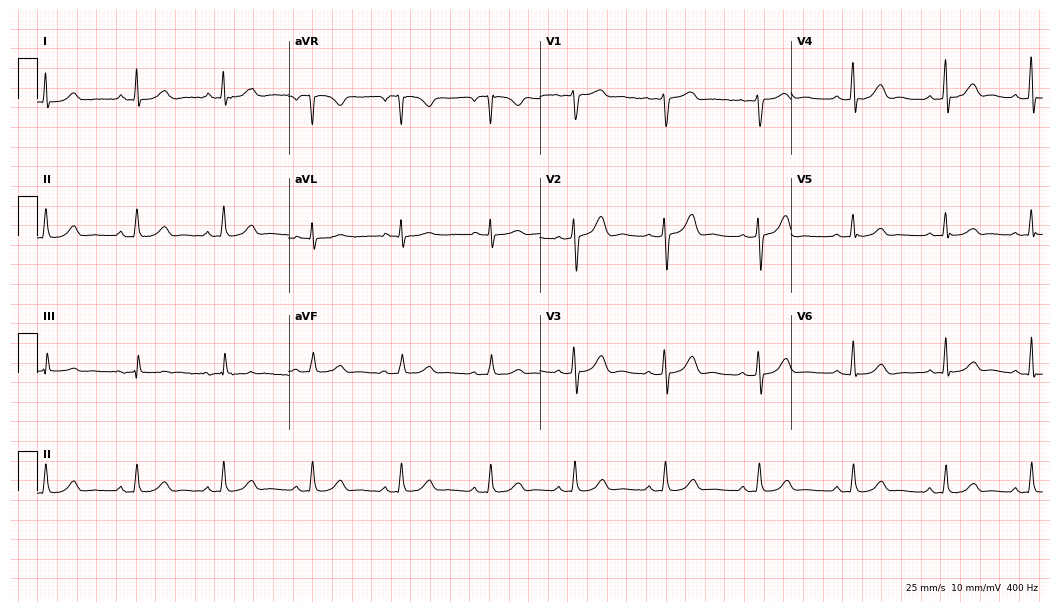
Electrocardiogram (10.2-second recording at 400 Hz), a female patient, 43 years old. Overall reading on record: normal ECG.